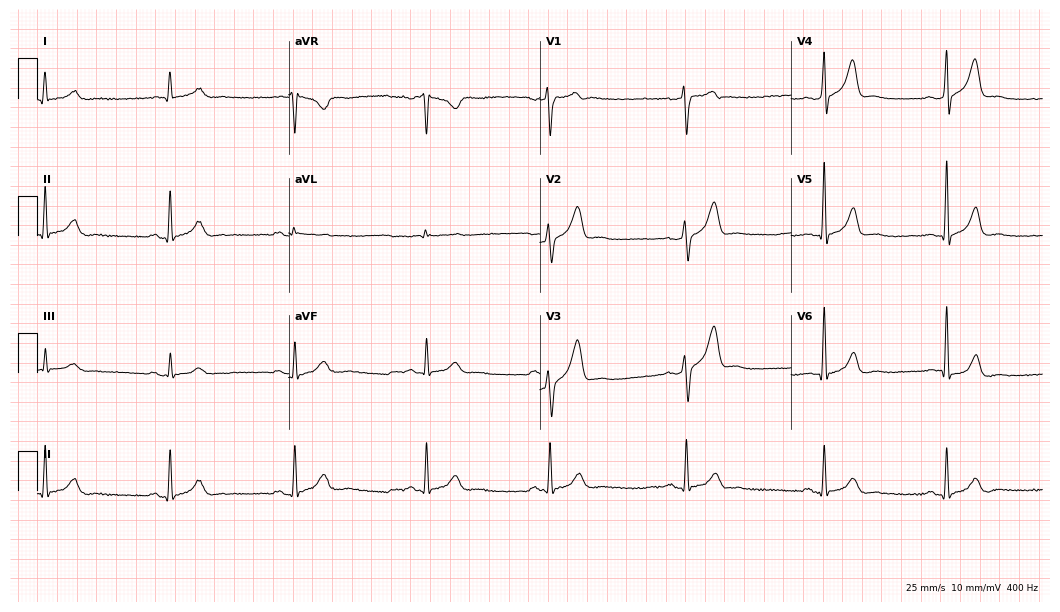
ECG (10.2-second recording at 400 Hz) — a male, 48 years old. Findings include sinus bradycardia (a sinus rate of 50 beats per minute or less).